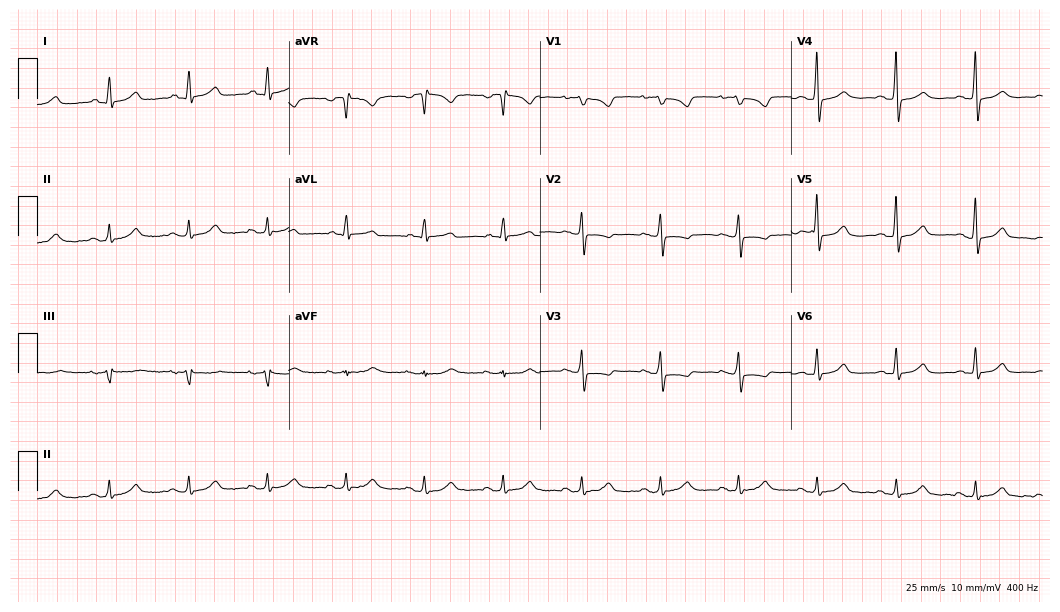
ECG (10.2-second recording at 400 Hz) — a 52-year-old woman. Screened for six findings — first-degree AV block, right bundle branch block, left bundle branch block, sinus bradycardia, atrial fibrillation, sinus tachycardia — none is recorded. Other findings, if any, are not listed.